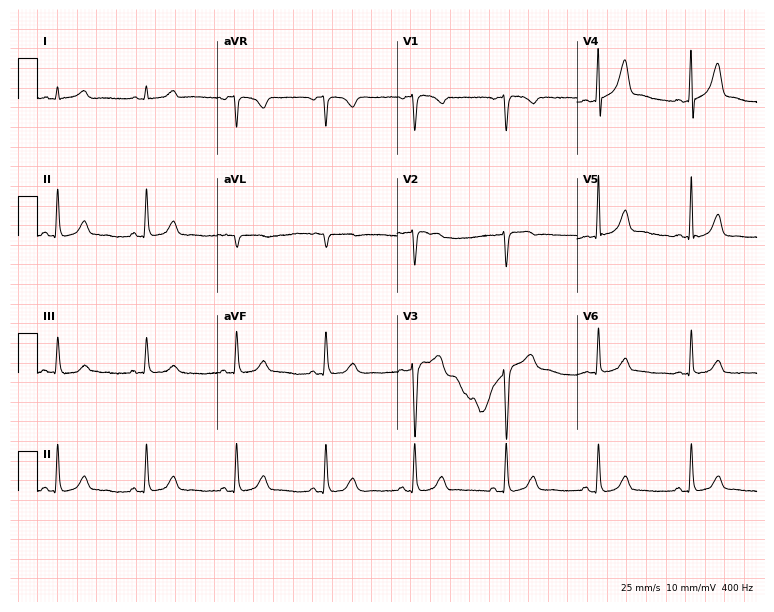
Standard 12-lead ECG recorded from a female patient, 45 years old. Read as a normal ECG.